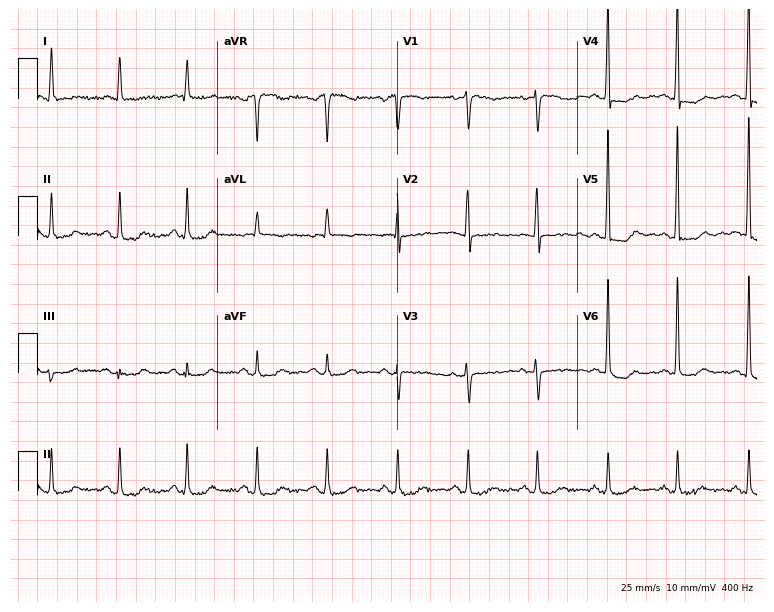
12-lead ECG from a female, 82 years old. Screened for six findings — first-degree AV block, right bundle branch block, left bundle branch block, sinus bradycardia, atrial fibrillation, sinus tachycardia — none is recorded.